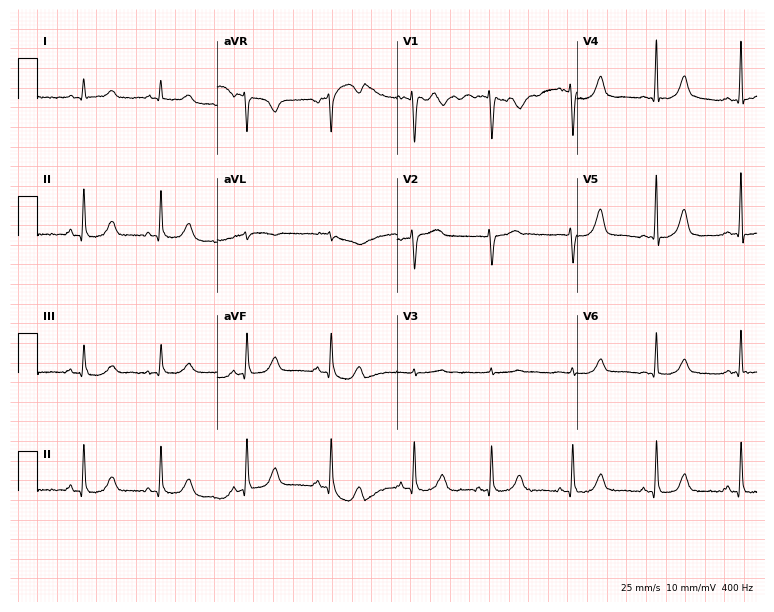
12-lead ECG from a female, 59 years old. Screened for six findings — first-degree AV block, right bundle branch block, left bundle branch block, sinus bradycardia, atrial fibrillation, sinus tachycardia — none is recorded.